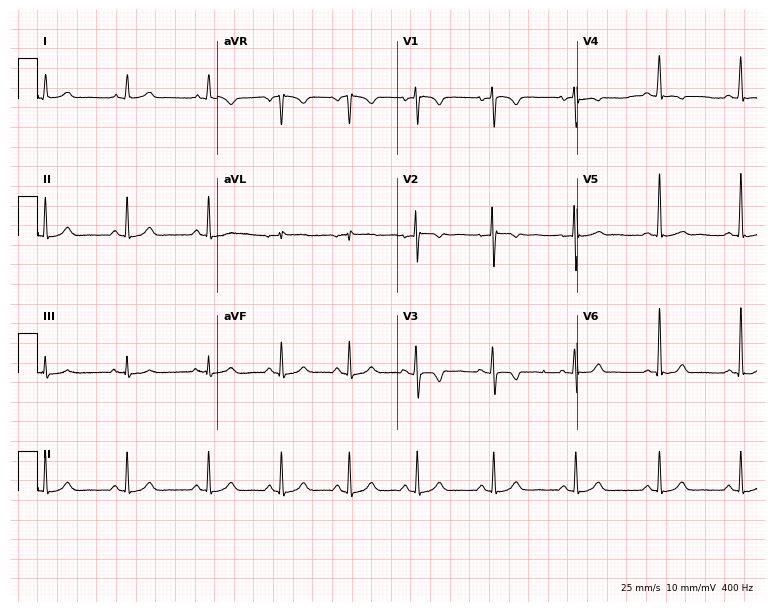
Standard 12-lead ECG recorded from a 25-year-old female patient. None of these six findings is recorded: first-degree AV block, right bundle branch block (RBBB), left bundle branch block (LBBB), sinus bradycardia, atrial fibrillation (AF), sinus tachycardia.